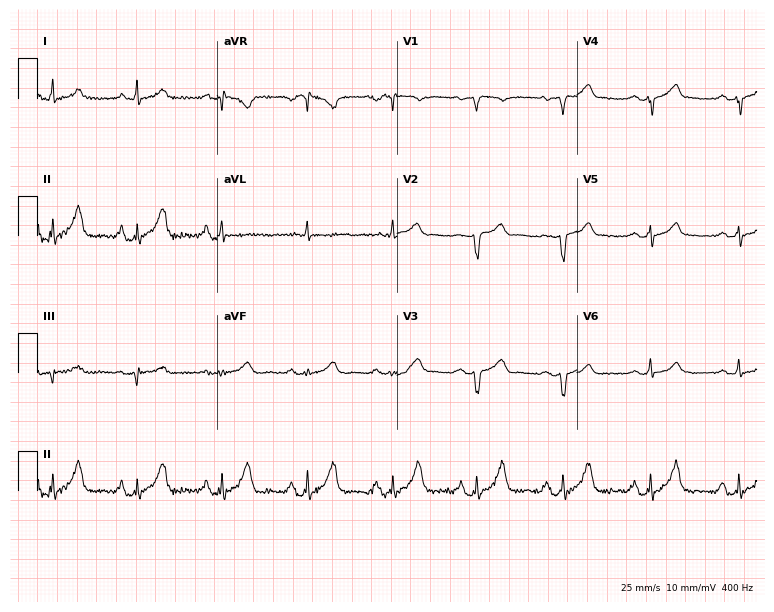
Standard 12-lead ECG recorded from a man, 56 years old (7.3-second recording at 400 Hz). None of these six findings is recorded: first-degree AV block, right bundle branch block (RBBB), left bundle branch block (LBBB), sinus bradycardia, atrial fibrillation (AF), sinus tachycardia. Findings outside these six are not listed.